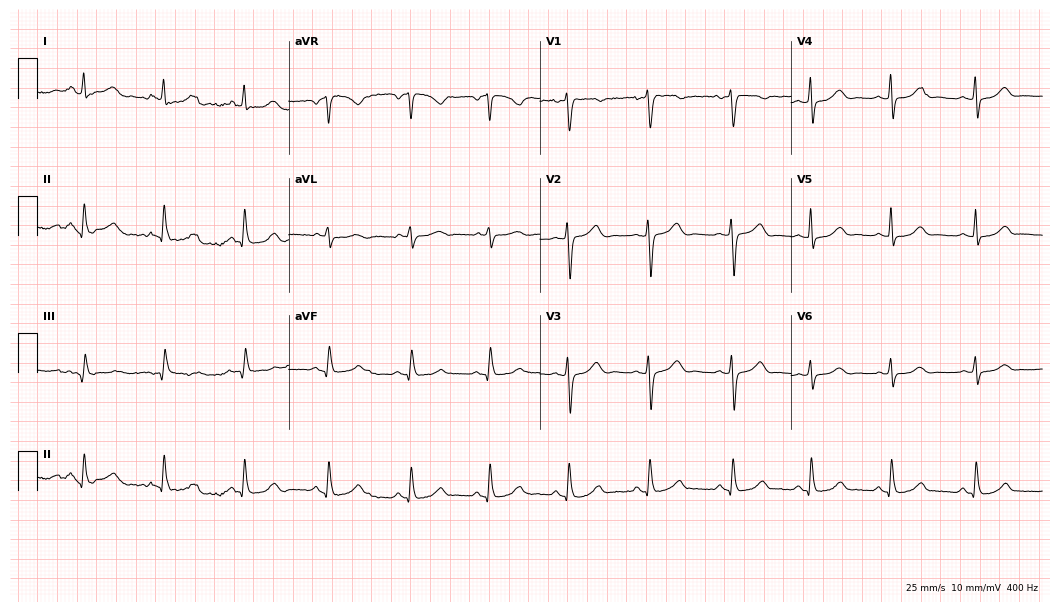
12-lead ECG from a 42-year-old female patient. Screened for six findings — first-degree AV block, right bundle branch block (RBBB), left bundle branch block (LBBB), sinus bradycardia, atrial fibrillation (AF), sinus tachycardia — none is recorded.